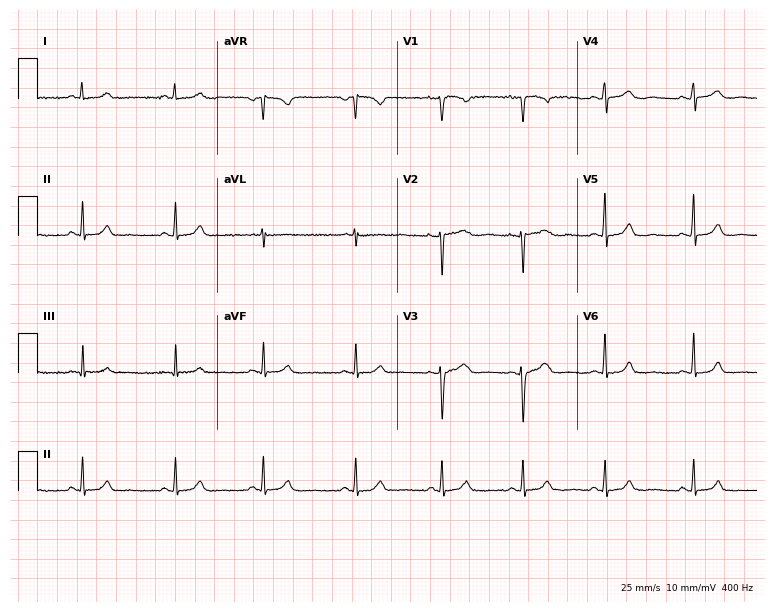
Resting 12-lead electrocardiogram (7.3-second recording at 400 Hz). Patient: a 35-year-old woman. Read as a normal ECG.